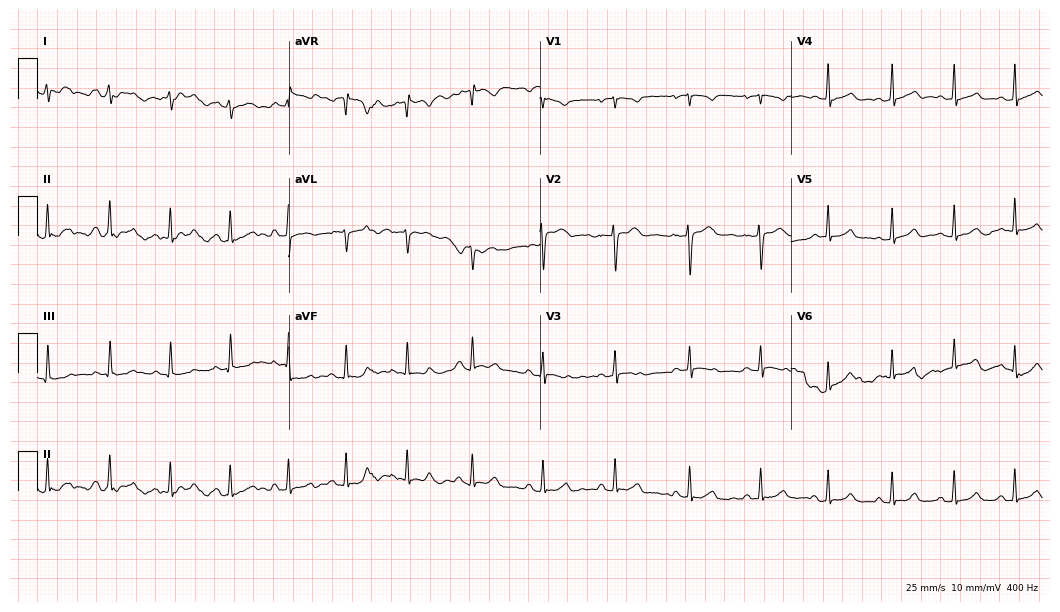
12-lead ECG from a female, 17 years old (10.2-second recording at 400 Hz). Recorded interpretation: within normal limits.